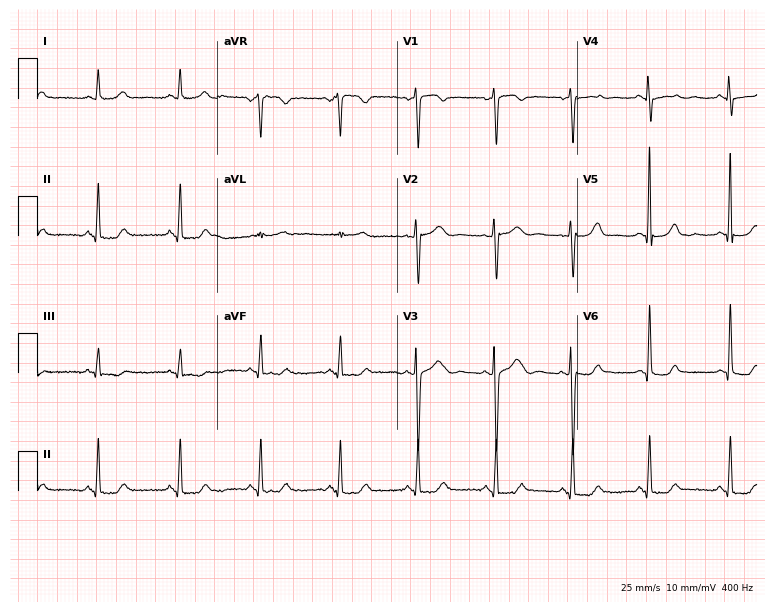
12-lead ECG from a woman, 44 years old. No first-degree AV block, right bundle branch block (RBBB), left bundle branch block (LBBB), sinus bradycardia, atrial fibrillation (AF) or sinus tachycardia recorded for this tracing. Other findings, if any, are not listed.